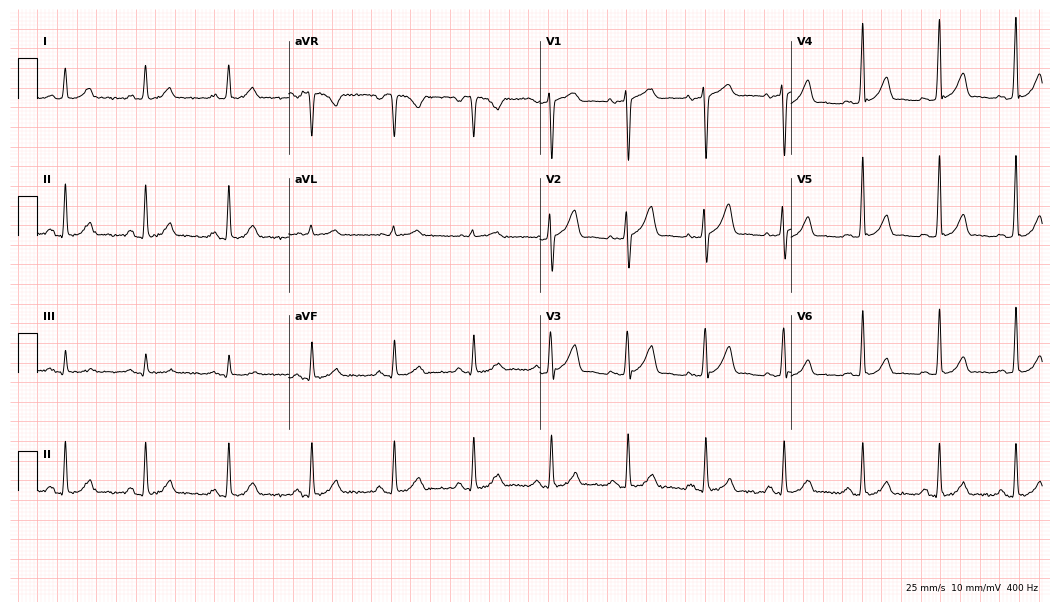
ECG (10.2-second recording at 400 Hz) — a 43-year-old man. Screened for six findings — first-degree AV block, right bundle branch block (RBBB), left bundle branch block (LBBB), sinus bradycardia, atrial fibrillation (AF), sinus tachycardia — none is recorded.